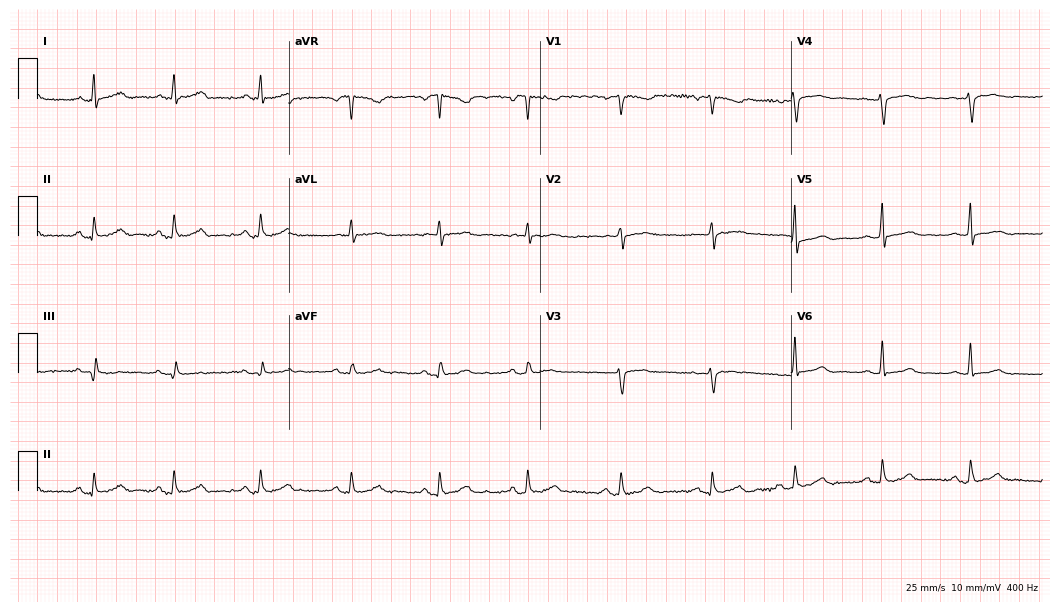
12-lead ECG from a 37-year-old female. No first-degree AV block, right bundle branch block, left bundle branch block, sinus bradycardia, atrial fibrillation or sinus tachycardia recorded for this tracing.